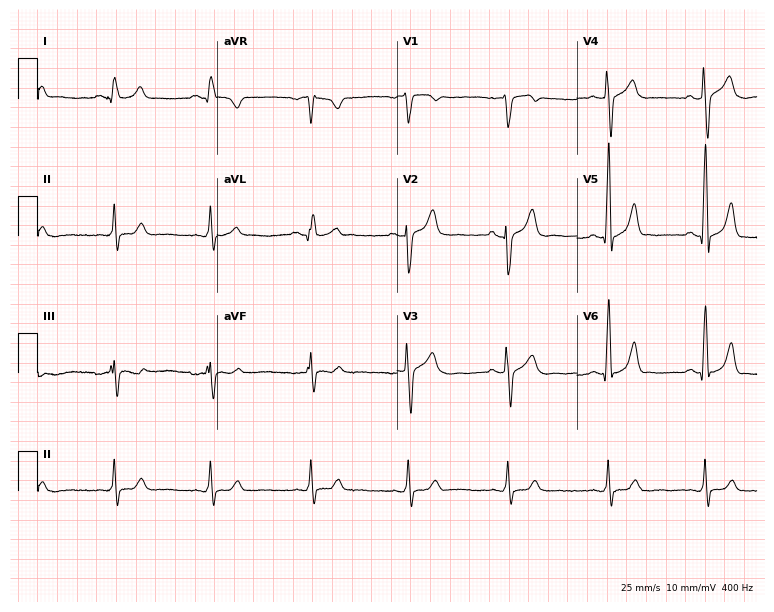
12-lead ECG from a 64-year-old man. Labelled as a normal ECG.